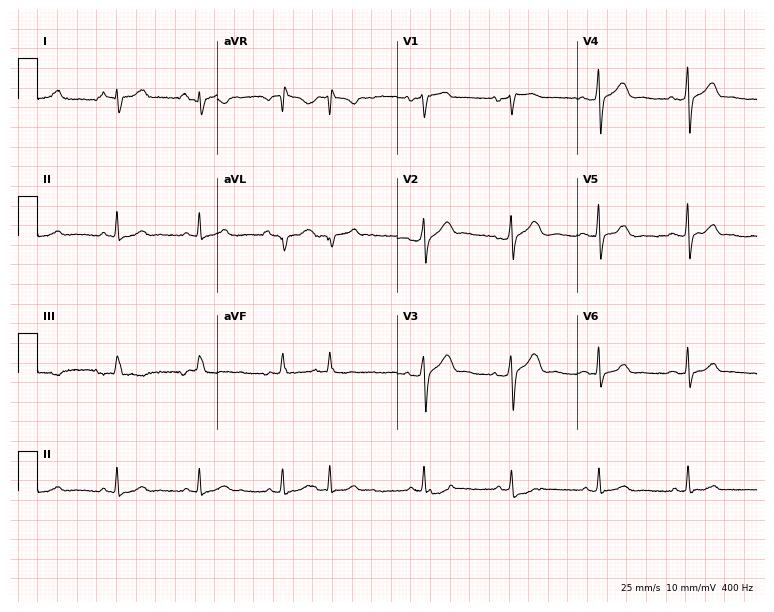
ECG (7.3-second recording at 400 Hz) — a man, 61 years old. Screened for six findings — first-degree AV block, right bundle branch block (RBBB), left bundle branch block (LBBB), sinus bradycardia, atrial fibrillation (AF), sinus tachycardia — none is recorded. Findings outside these six are not listed.